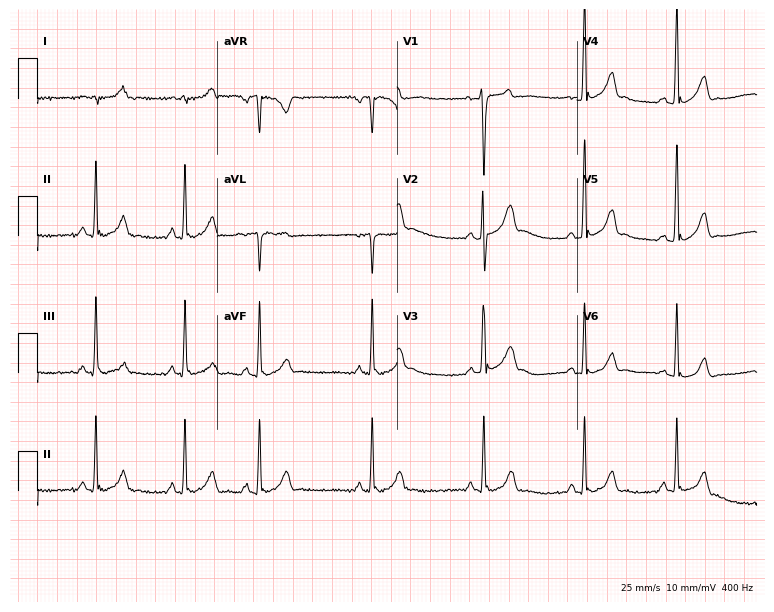
12-lead ECG (7.3-second recording at 400 Hz) from a 20-year-old male patient. Labelled as a normal ECG.